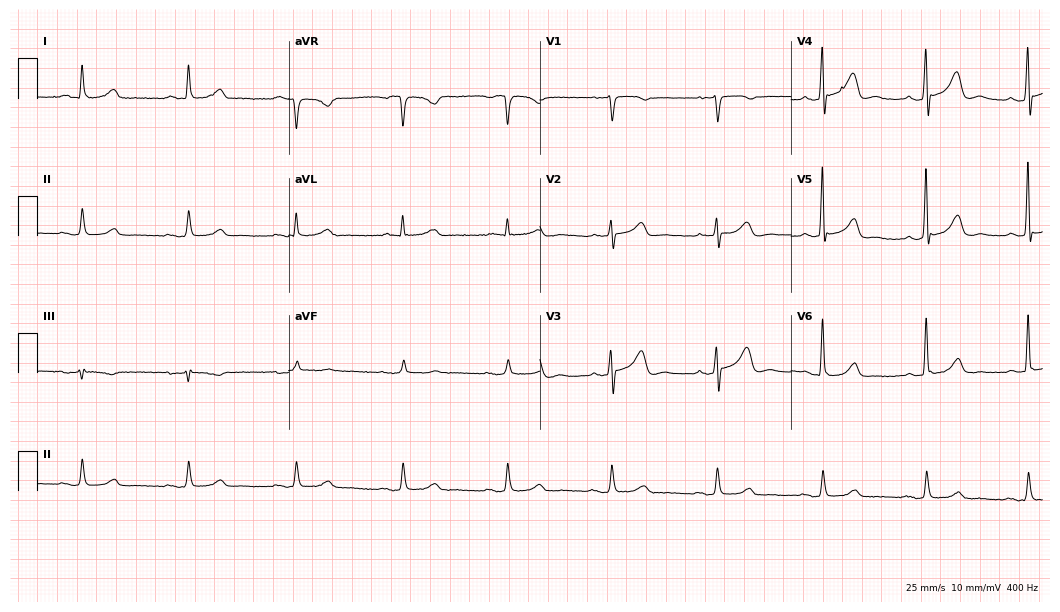
Standard 12-lead ECG recorded from a 75-year-old man (10.2-second recording at 400 Hz). Read as a normal ECG.